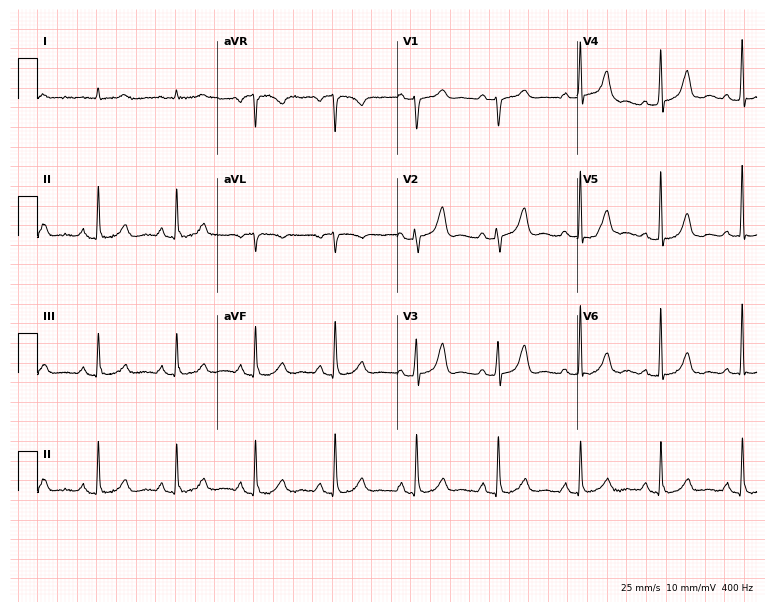
Electrocardiogram (7.3-second recording at 400 Hz), a 76-year-old man. Overall reading on record: normal ECG.